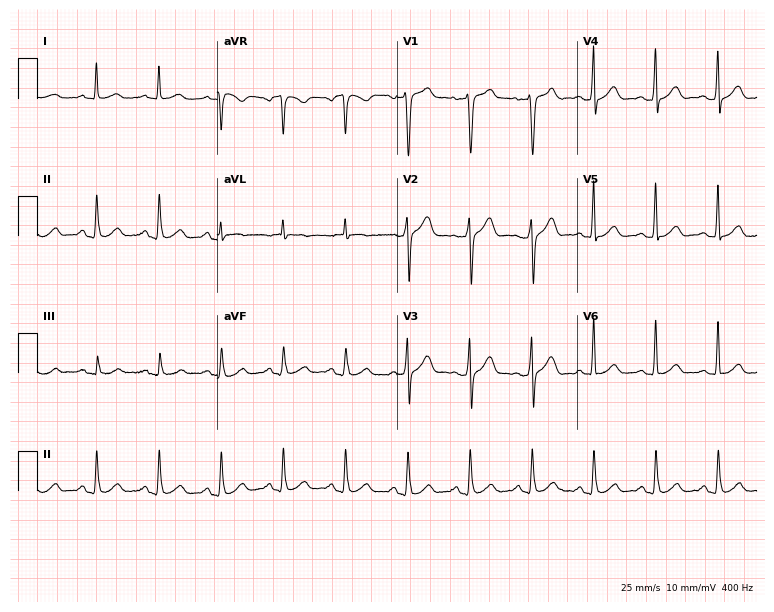
12-lead ECG from a male, 50 years old (7.3-second recording at 400 Hz). No first-degree AV block, right bundle branch block (RBBB), left bundle branch block (LBBB), sinus bradycardia, atrial fibrillation (AF) or sinus tachycardia recorded for this tracing. Other findings, if any, are not listed.